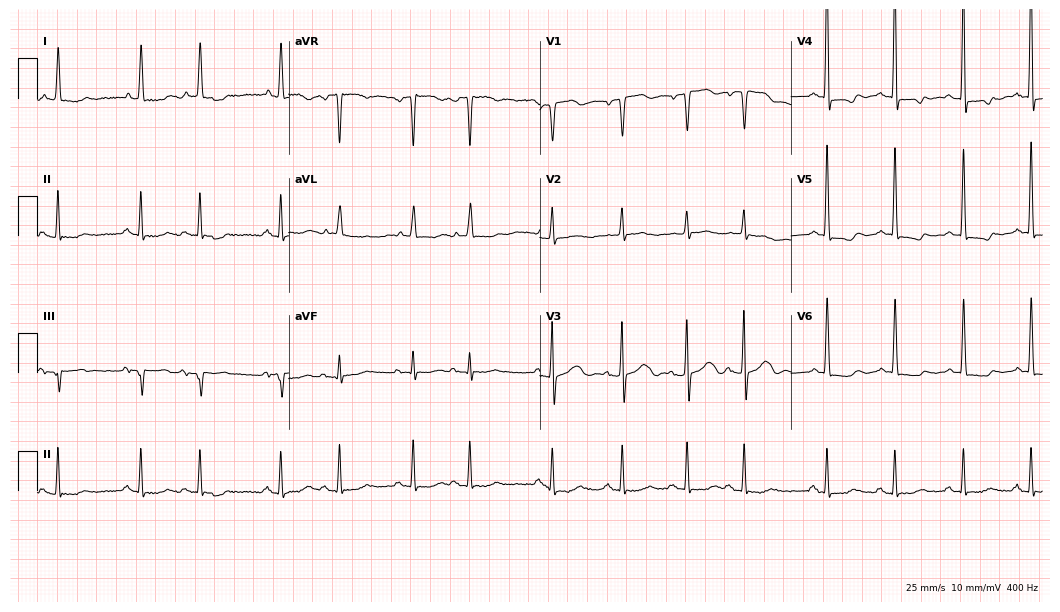
Standard 12-lead ECG recorded from a 71-year-old female patient (10.2-second recording at 400 Hz). Read as a normal ECG.